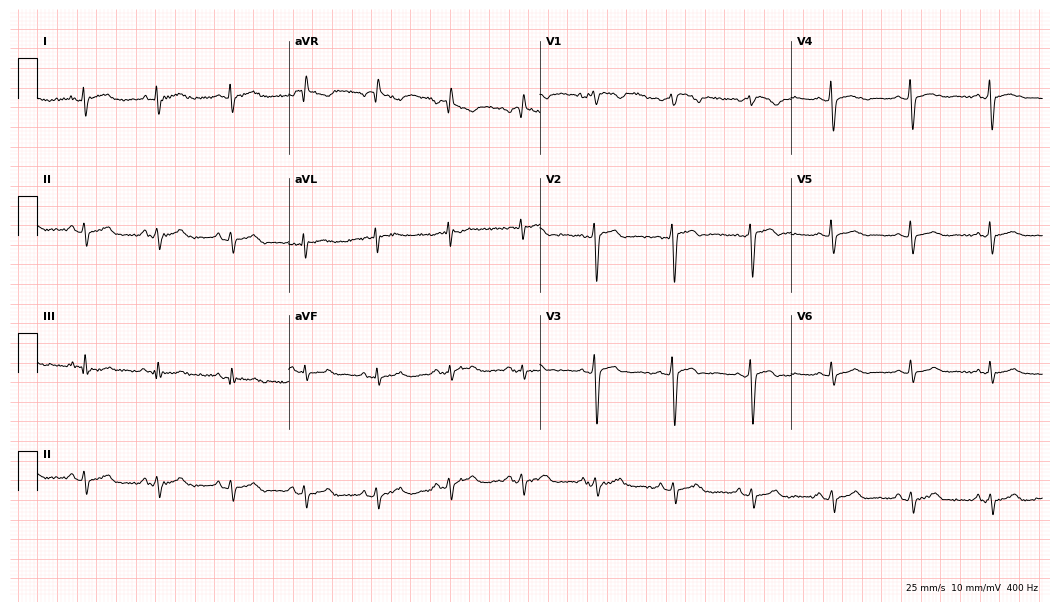
Resting 12-lead electrocardiogram (10.2-second recording at 400 Hz). Patient: a female, 55 years old. Read as a normal ECG.